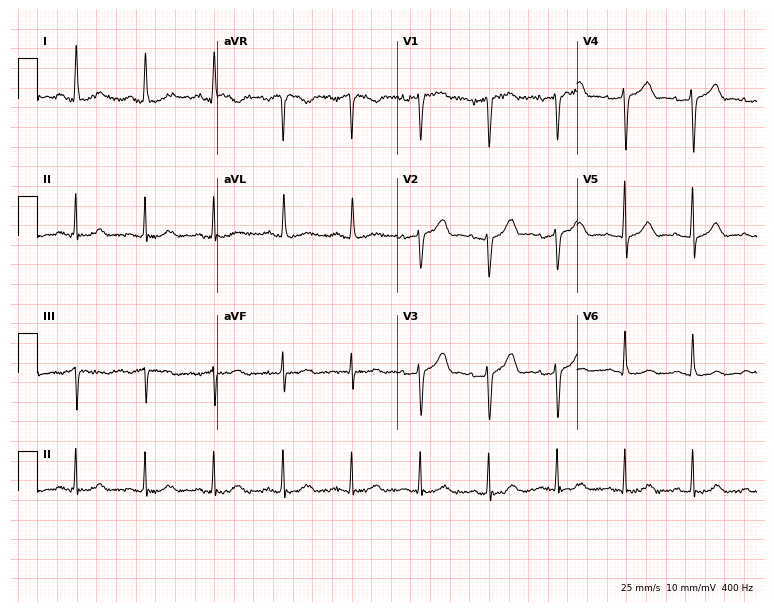
ECG (7.3-second recording at 400 Hz) — a female patient, 79 years old. Screened for six findings — first-degree AV block, right bundle branch block (RBBB), left bundle branch block (LBBB), sinus bradycardia, atrial fibrillation (AF), sinus tachycardia — none is recorded.